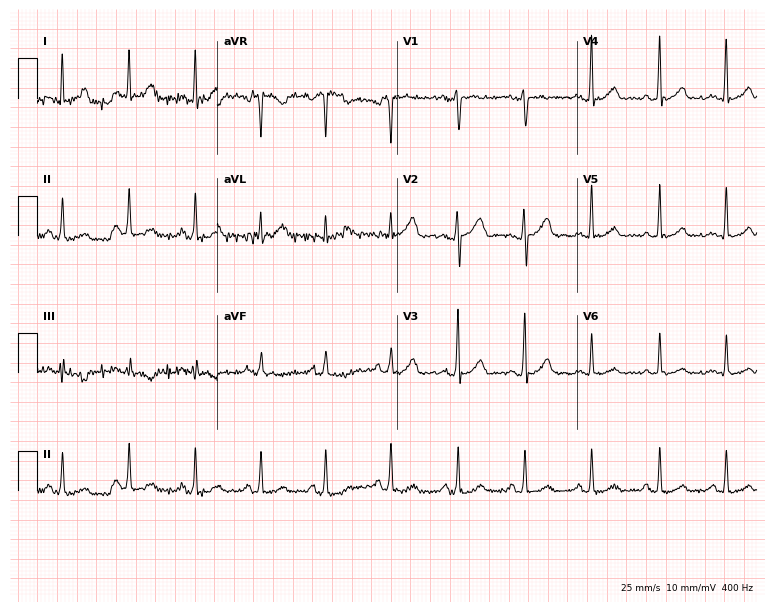
12-lead ECG (7.3-second recording at 400 Hz) from a 35-year-old female. Screened for six findings — first-degree AV block, right bundle branch block (RBBB), left bundle branch block (LBBB), sinus bradycardia, atrial fibrillation (AF), sinus tachycardia — none is recorded. Only these six findings were labelled.